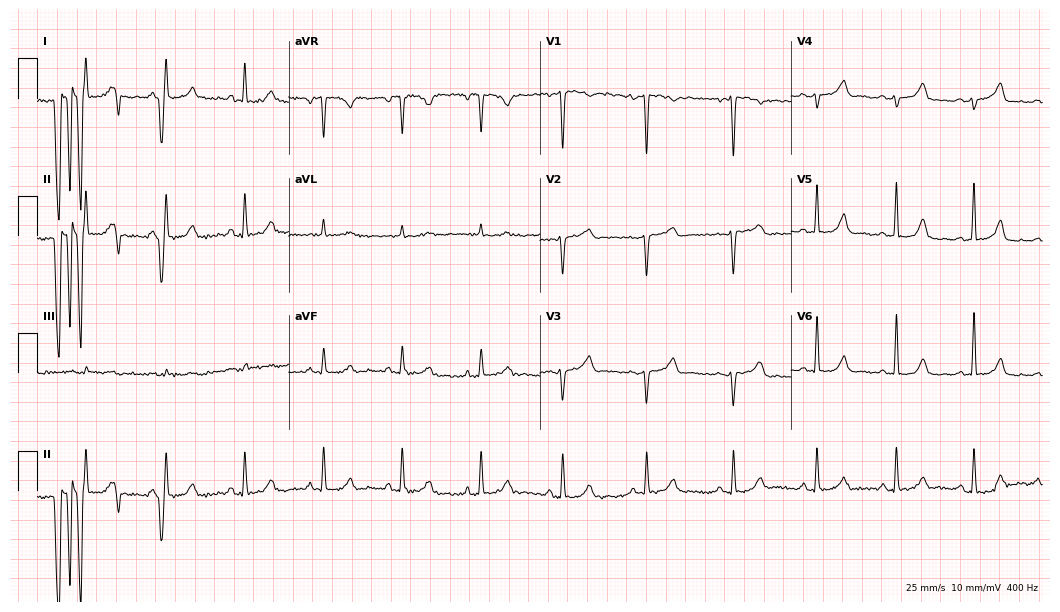
Resting 12-lead electrocardiogram (10.2-second recording at 400 Hz). Patient: a woman, 55 years old. None of these six findings is recorded: first-degree AV block, right bundle branch block, left bundle branch block, sinus bradycardia, atrial fibrillation, sinus tachycardia. Findings outside these six are not listed.